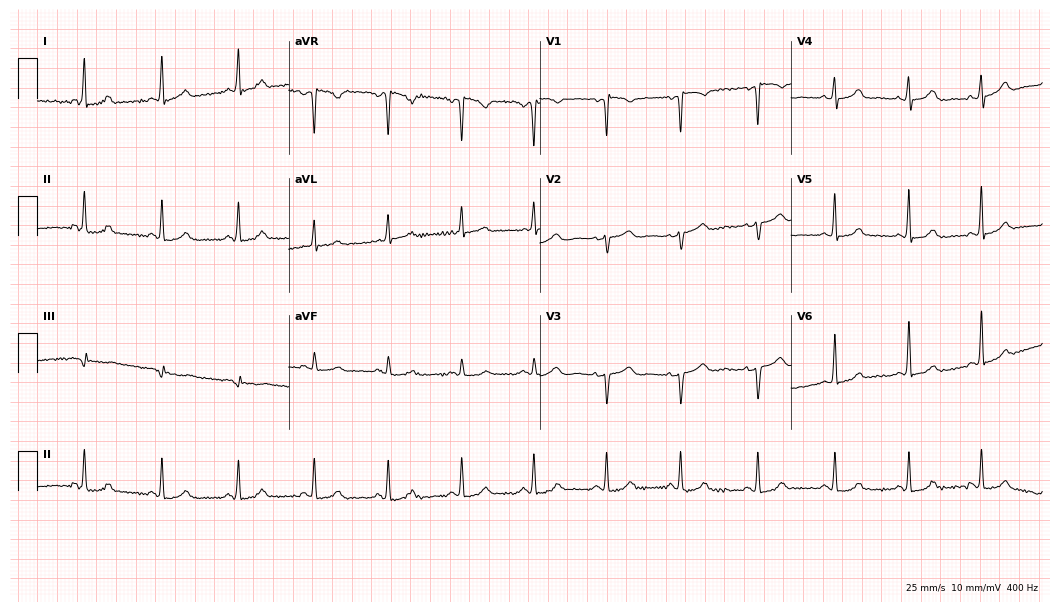
12-lead ECG (10.2-second recording at 400 Hz) from a female patient, 47 years old. Labelled as a normal ECG.